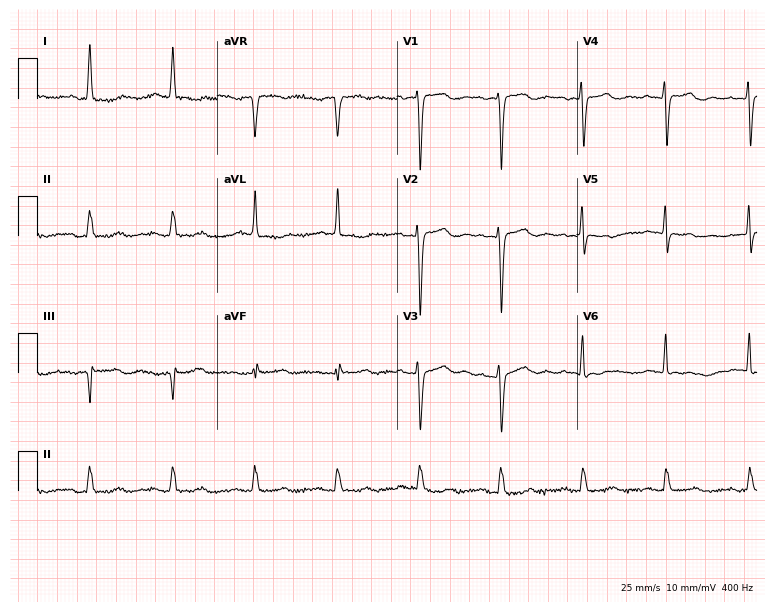
12-lead ECG from a woman, 71 years old (7.3-second recording at 400 Hz). No first-degree AV block, right bundle branch block, left bundle branch block, sinus bradycardia, atrial fibrillation or sinus tachycardia recorded for this tracing. Findings outside these six are not listed.